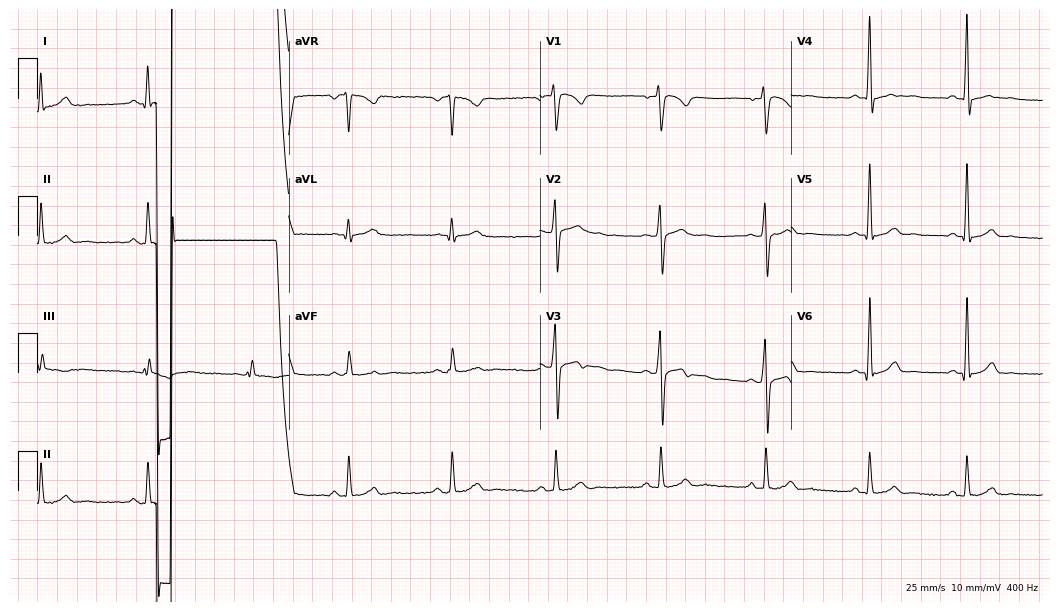
ECG — a male patient, 31 years old. Labelled as a normal ECG.